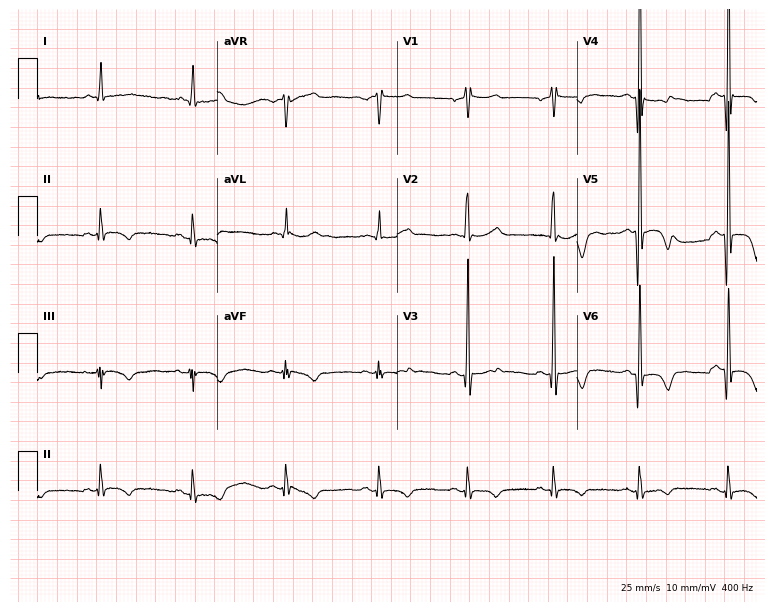
12-lead ECG from a male patient, 75 years old (7.3-second recording at 400 Hz). No first-degree AV block, right bundle branch block, left bundle branch block, sinus bradycardia, atrial fibrillation or sinus tachycardia recorded for this tracing.